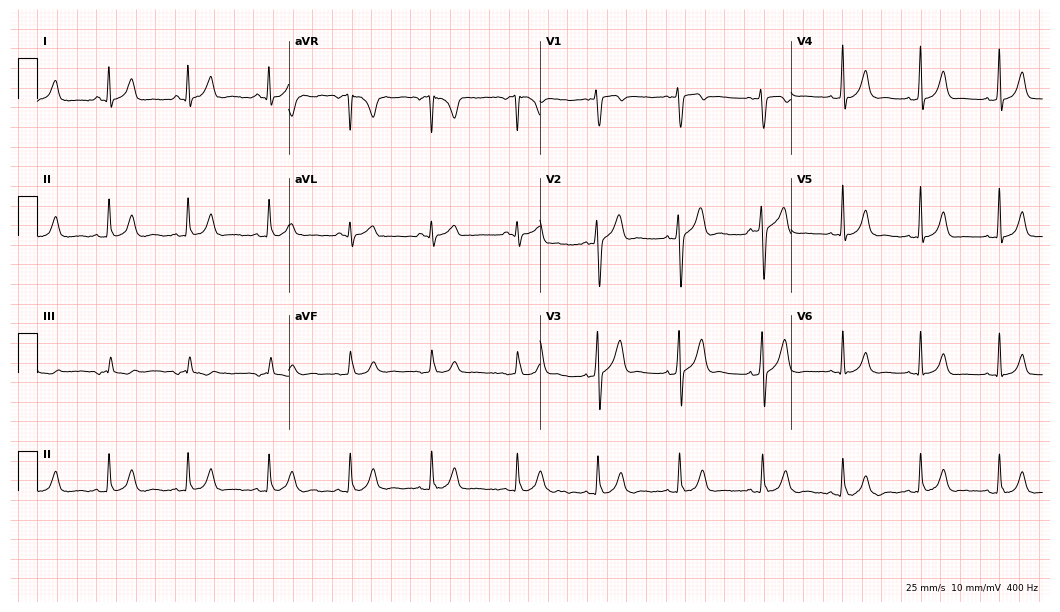
12-lead ECG from a male patient, 24 years old. No first-degree AV block, right bundle branch block, left bundle branch block, sinus bradycardia, atrial fibrillation or sinus tachycardia recorded for this tracing.